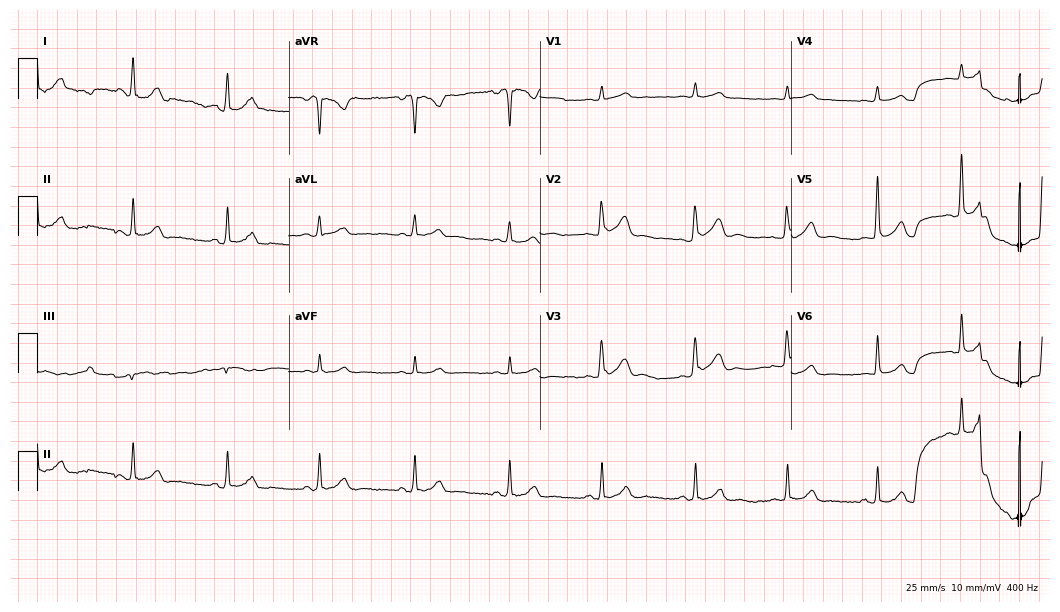
12-lead ECG from a 55-year-old male patient. No first-degree AV block, right bundle branch block, left bundle branch block, sinus bradycardia, atrial fibrillation or sinus tachycardia recorded for this tracing. Other findings, if any, are not listed.